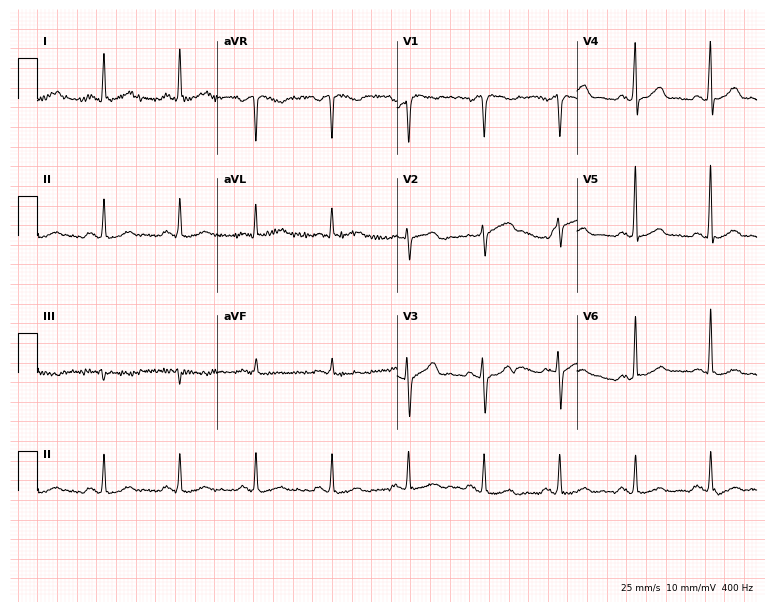
Resting 12-lead electrocardiogram. Patient: a 61-year-old man. Read as a normal ECG.